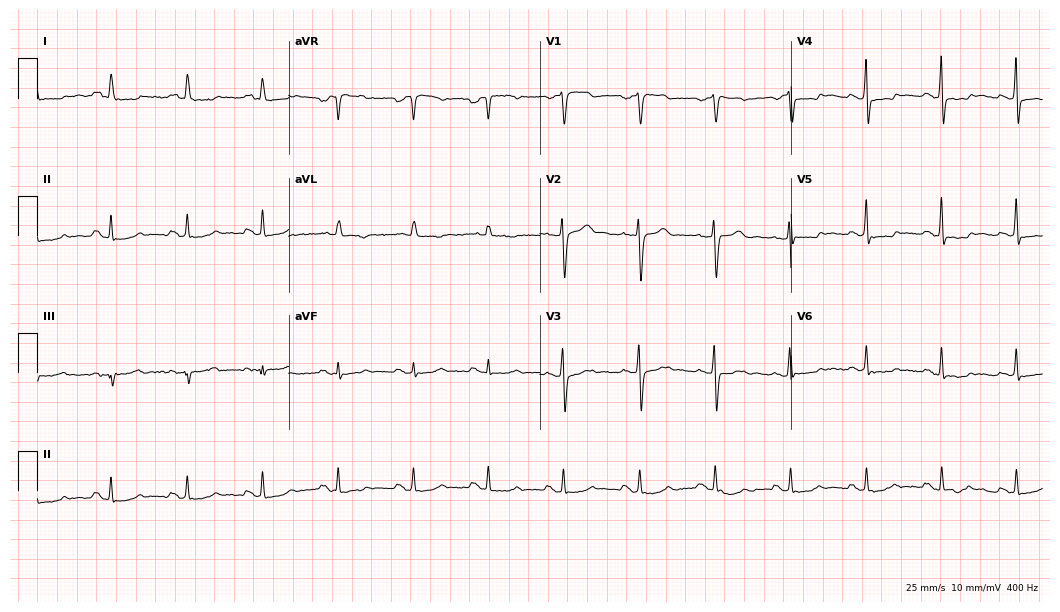
Resting 12-lead electrocardiogram. Patient: a 71-year-old male. Read as a normal ECG.